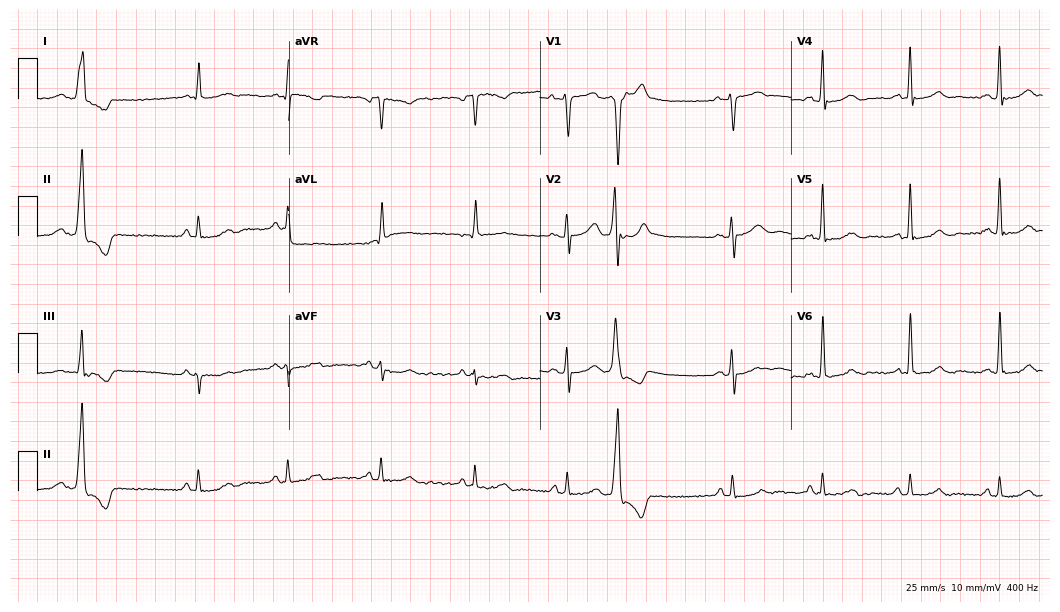
ECG (10.2-second recording at 400 Hz) — a 62-year-old male patient. Screened for six findings — first-degree AV block, right bundle branch block, left bundle branch block, sinus bradycardia, atrial fibrillation, sinus tachycardia — none is recorded. Findings outside these six are not listed.